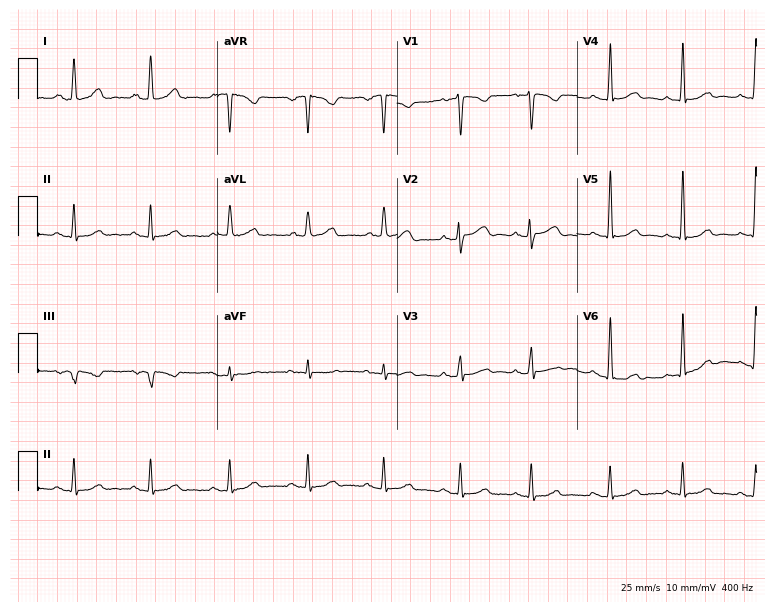
12-lead ECG from a female patient, 41 years old. Screened for six findings — first-degree AV block, right bundle branch block, left bundle branch block, sinus bradycardia, atrial fibrillation, sinus tachycardia — none is recorded.